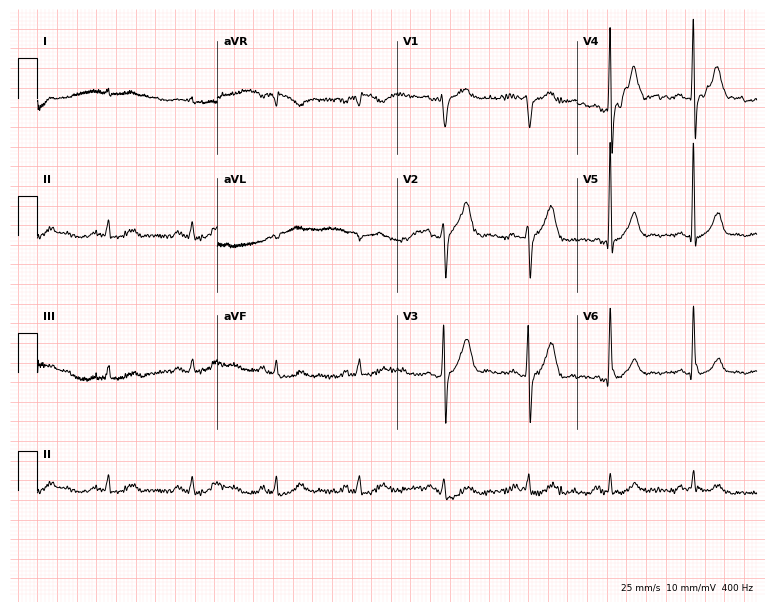
12-lead ECG (7.3-second recording at 400 Hz) from a male patient, 66 years old. Screened for six findings — first-degree AV block, right bundle branch block, left bundle branch block, sinus bradycardia, atrial fibrillation, sinus tachycardia — none is recorded. Only these six findings were labelled.